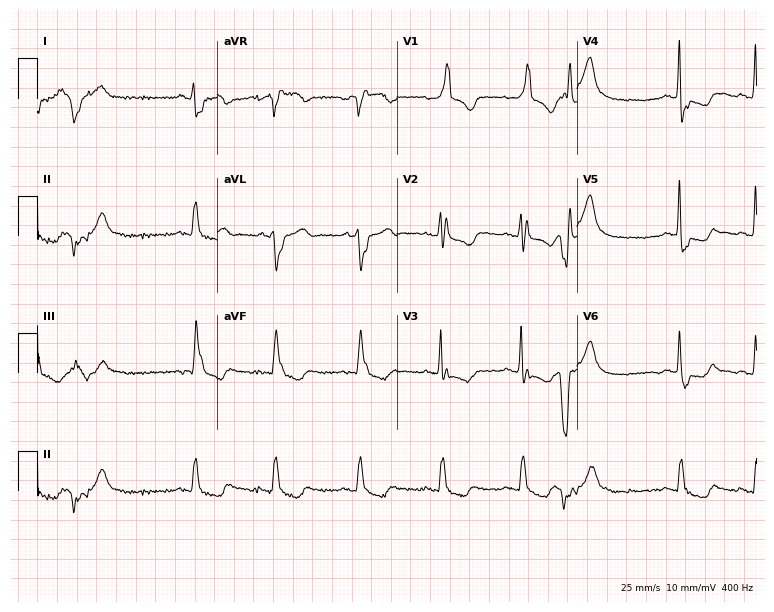
Resting 12-lead electrocardiogram. Patient: an 85-year-old female. The tracing shows right bundle branch block.